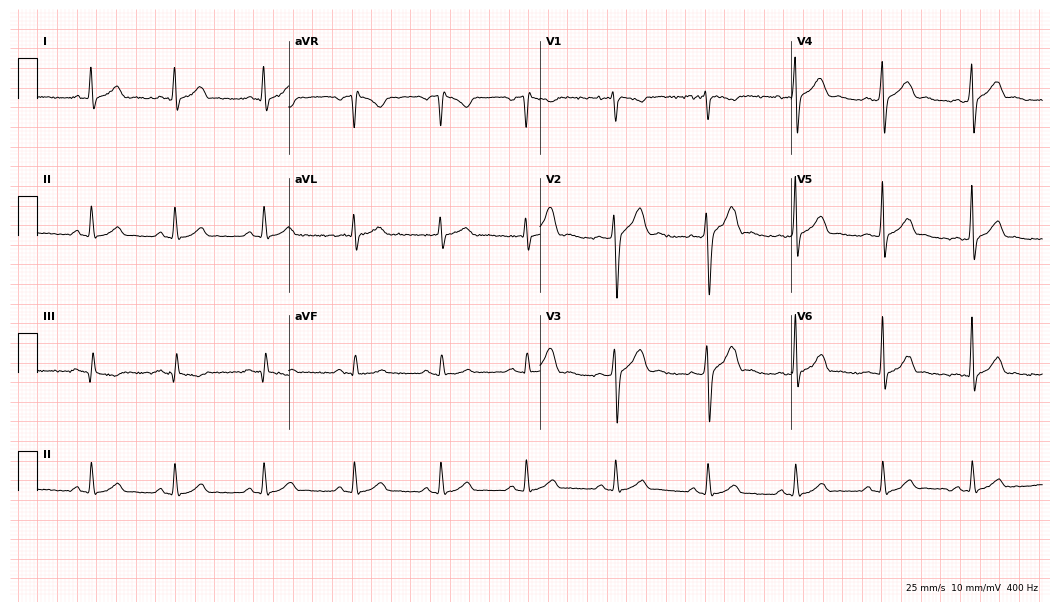
ECG (10.2-second recording at 400 Hz) — a man, 30 years old. Labelled as a normal ECG.